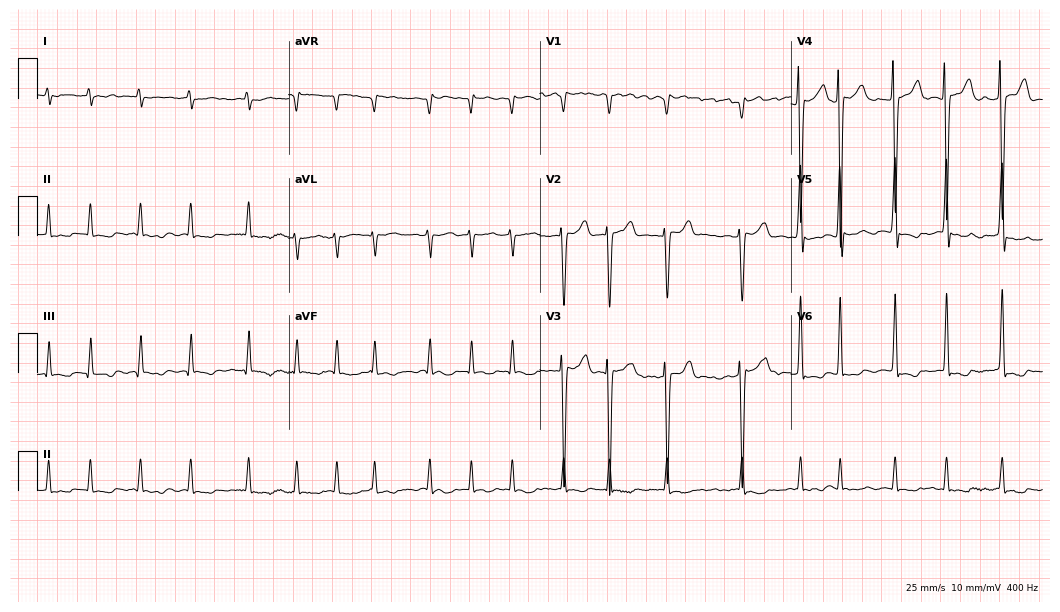
Standard 12-lead ECG recorded from a 49-year-old man (10.2-second recording at 400 Hz). The tracing shows atrial fibrillation.